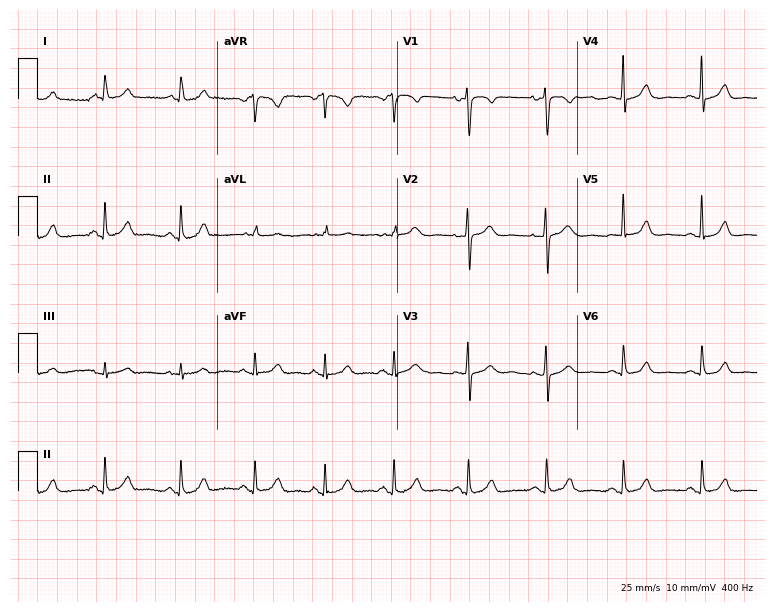
12-lead ECG from a 27-year-old female (7.3-second recording at 400 Hz). No first-degree AV block, right bundle branch block, left bundle branch block, sinus bradycardia, atrial fibrillation or sinus tachycardia recorded for this tracing.